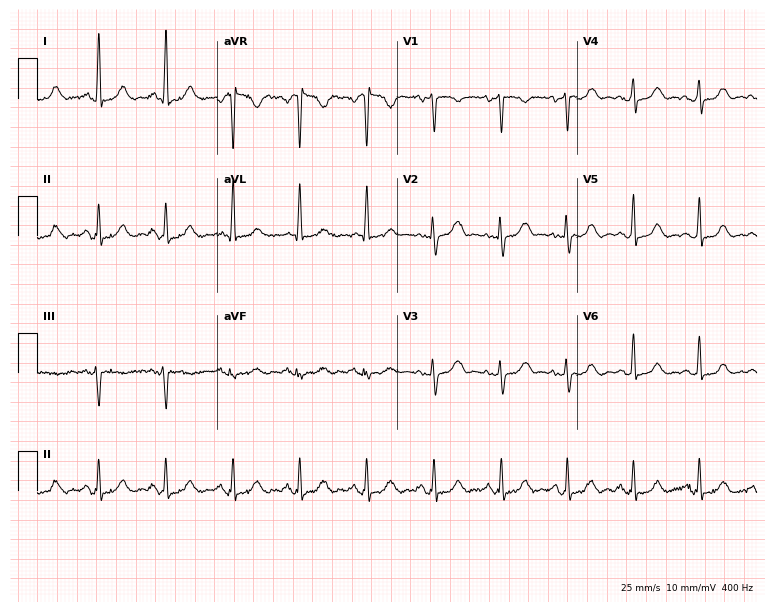
12-lead ECG from a 63-year-old woman. Recorded interpretation: within normal limits.